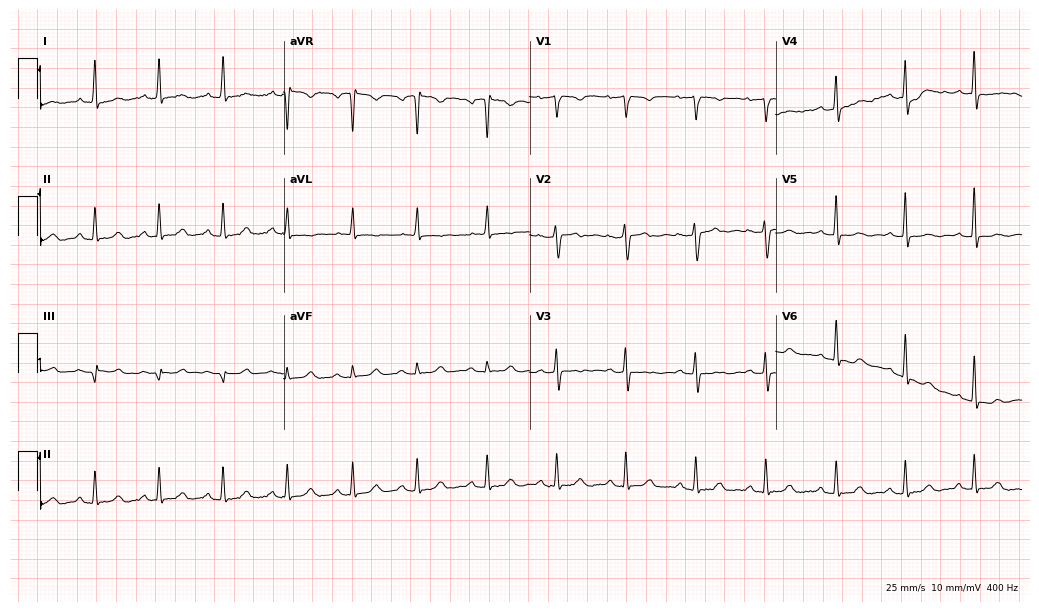
12-lead ECG from a female, 44 years old (10-second recording at 400 Hz). Recorded interpretation: within normal limits.